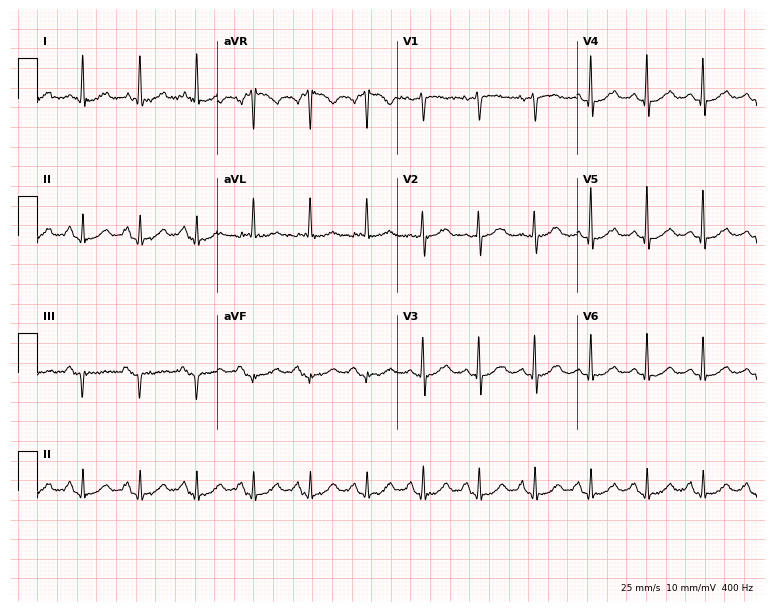
12-lead ECG from a female, 78 years old (7.3-second recording at 400 Hz). No first-degree AV block, right bundle branch block, left bundle branch block, sinus bradycardia, atrial fibrillation or sinus tachycardia recorded for this tracing. Only these six findings were labelled.